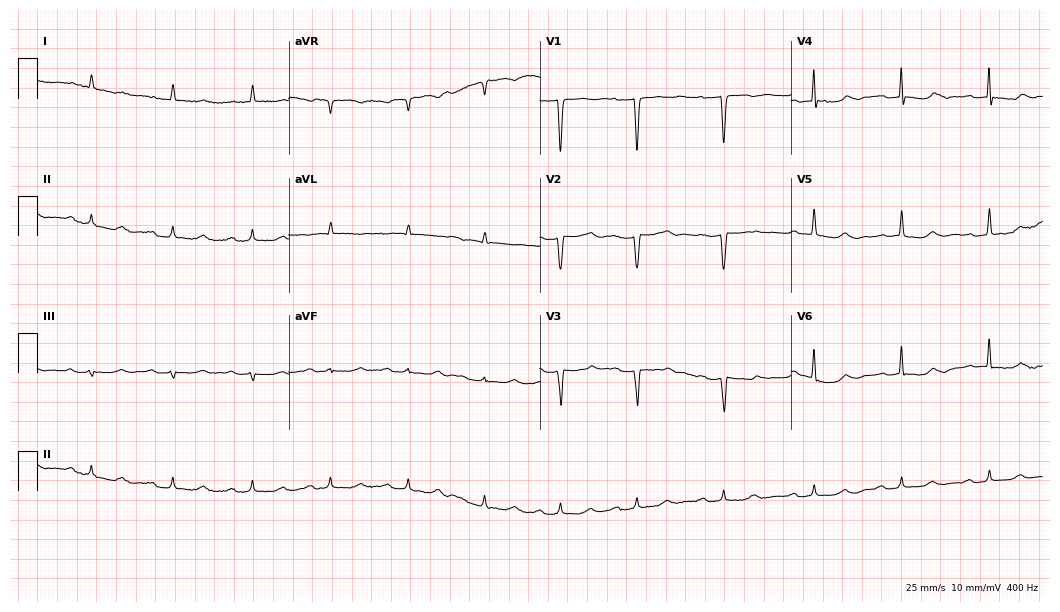
Electrocardiogram, a male, 84 years old. Of the six screened findings (first-degree AV block, right bundle branch block, left bundle branch block, sinus bradycardia, atrial fibrillation, sinus tachycardia), none is recorded. Findings outside these six are not listed.